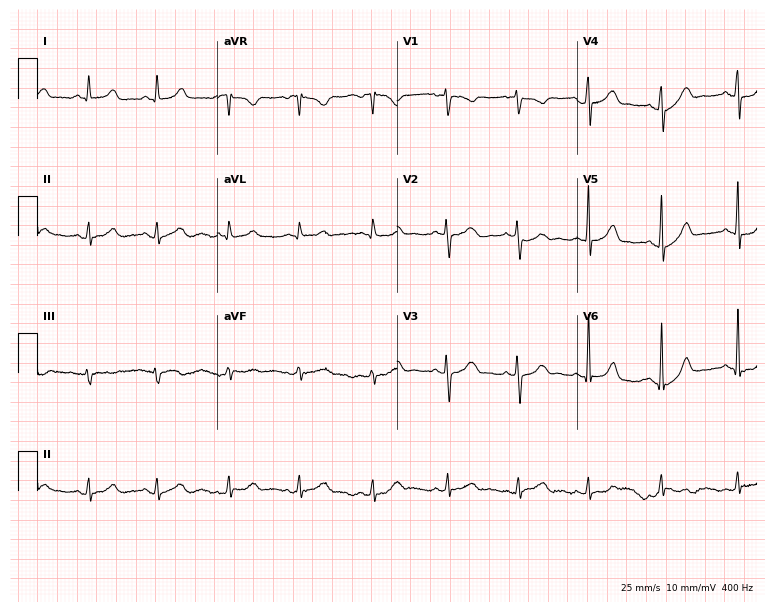
Resting 12-lead electrocardiogram (7.3-second recording at 400 Hz). Patient: an 18-year-old female. None of these six findings is recorded: first-degree AV block, right bundle branch block, left bundle branch block, sinus bradycardia, atrial fibrillation, sinus tachycardia.